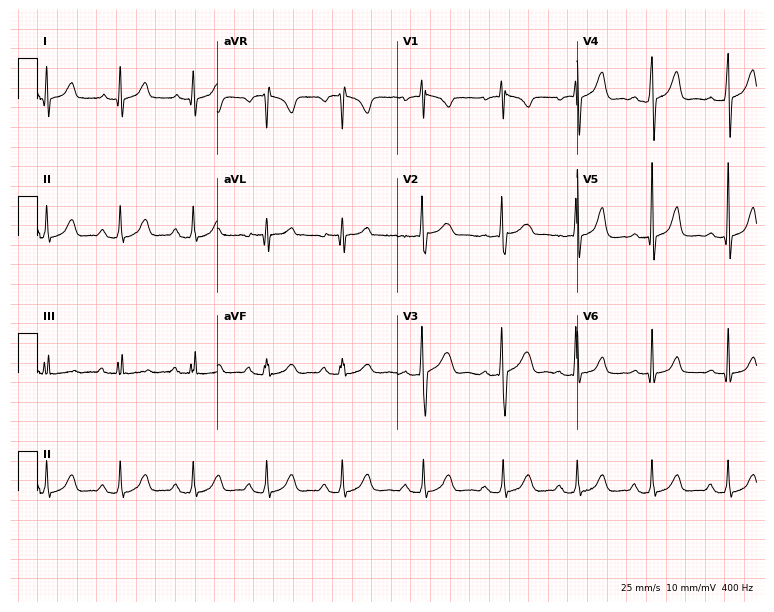
Standard 12-lead ECG recorded from a female, 27 years old (7.3-second recording at 400 Hz). Read as a normal ECG.